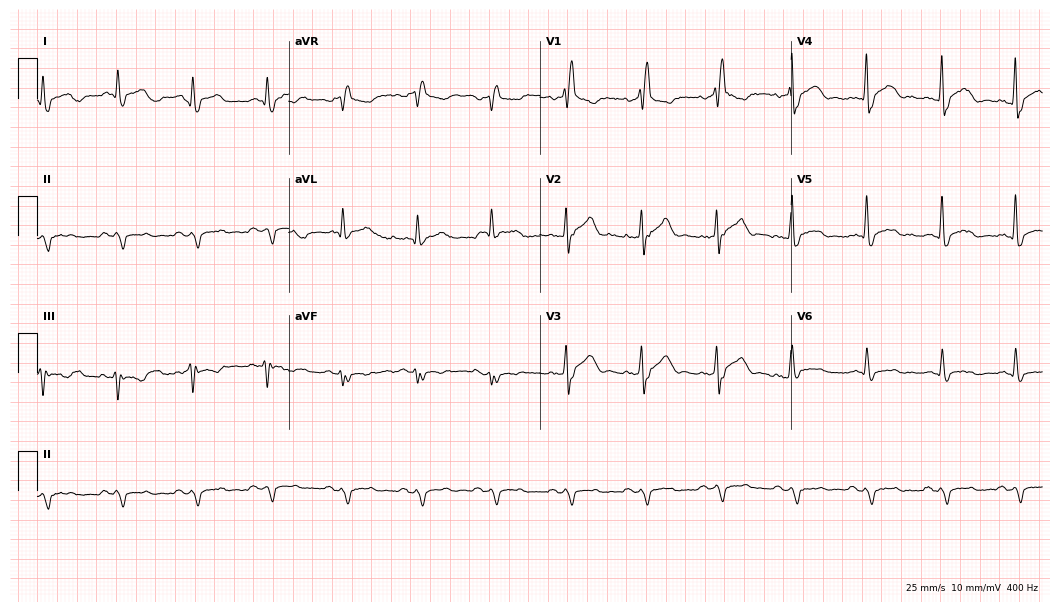
12-lead ECG from a male patient, 59 years old. Screened for six findings — first-degree AV block, right bundle branch block (RBBB), left bundle branch block (LBBB), sinus bradycardia, atrial fibrillation (AF), sinus tachycardia — none is recorded. Findings outside these six are not listed.